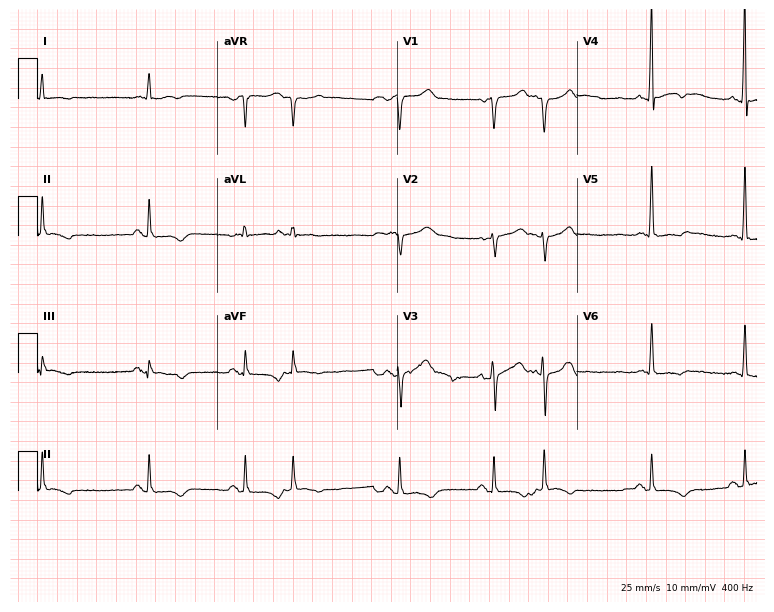
12-lead ECG (7.3-second recording at 400 Hz) from a 72-year-old male patient. Screened for six findings — first-degree AV block, right bundle branch block, left bundle branch block, sinus bradycardia, atrial fibrillation, sinus tachycardia — none is recorded.